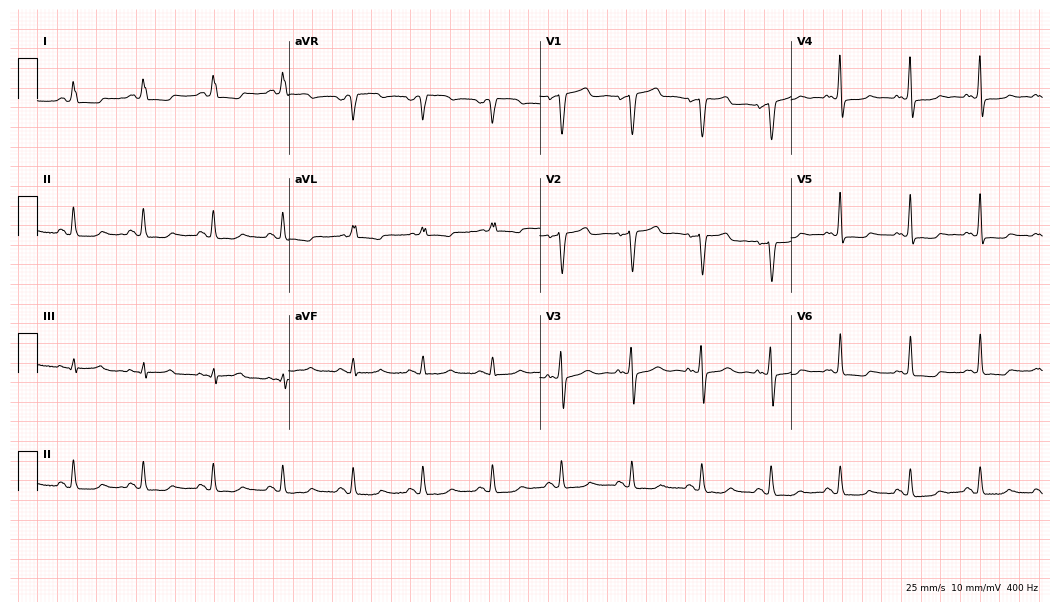
Resting 12-lead electrocardiogram. Patient: a female, 78 years old. None of these six findings is recorded: first-degree AV block, right bundle branch block, left bundle branch block, sinus bradycardia, atrial fibrillation, sinus tachycardia.